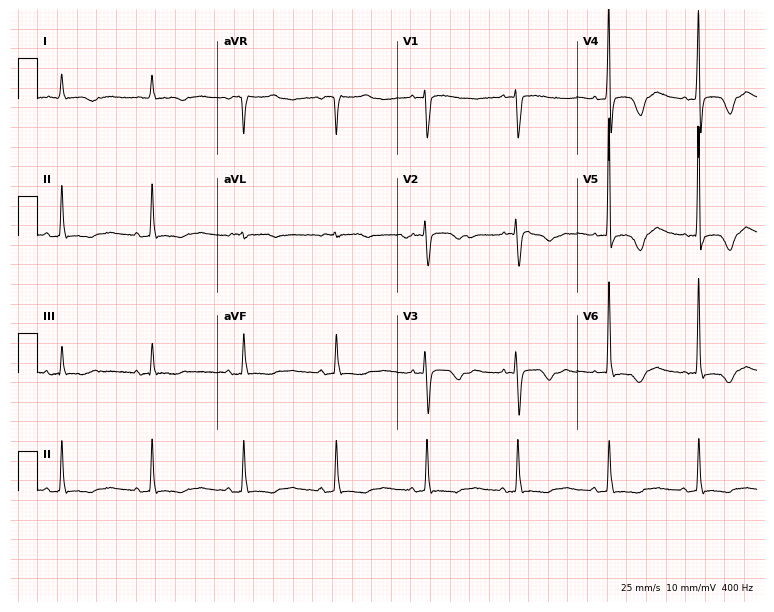
ECG (7.3-second recording at 400 Hz) — a 65-year-old woman. Screened for six findings — first-degree AV block, right bundle branch block, left bundle branch block, sinus bradycardia, atrial fibrillation, sinus tachycardia — none is recorded. Only these six findings were labelled.